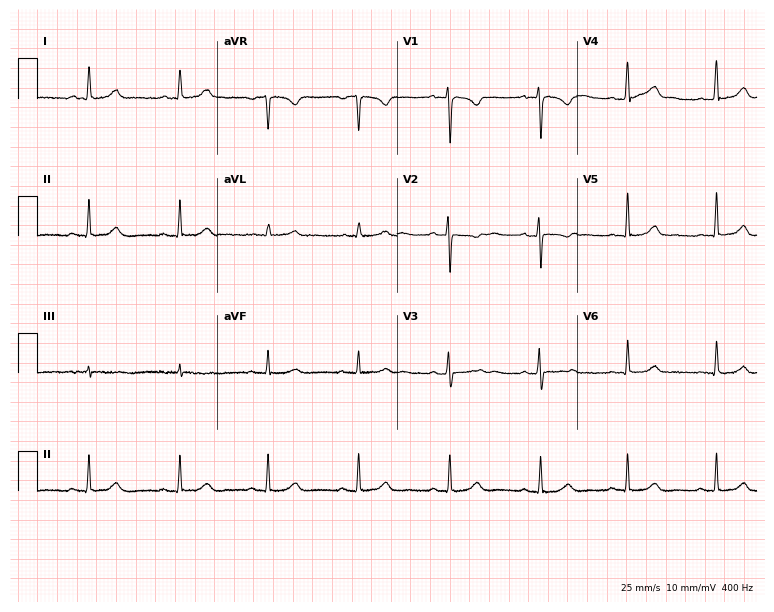
12-lead ECG from a woman, 32 years old (7.3-second recording at 400 Hz). No first-degree AV block, right bundle branch block (RBBB), left bundle branch block (LBBB), sinus bradycardia, atrial fibrillation (AF) or sinus tachycardia recorded for this tracing.